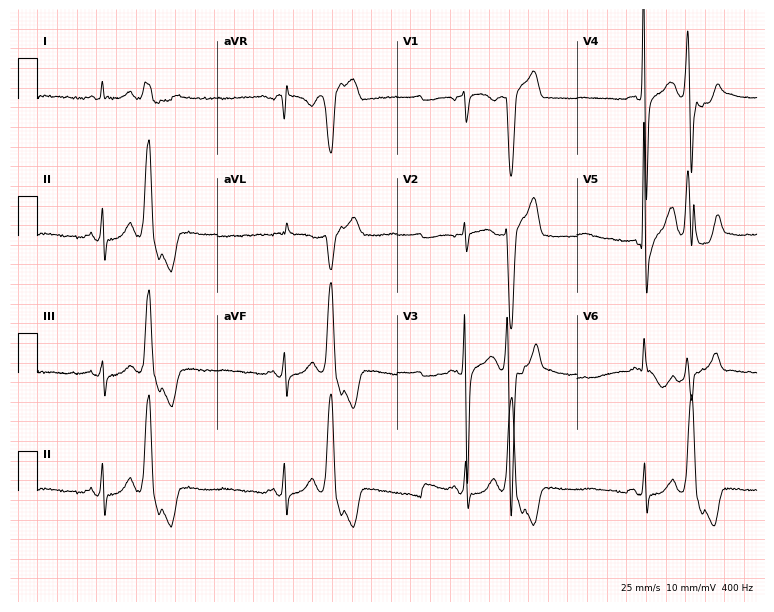
Electrocardiogram, a 61-year-old male patient. Of the six screened findings (first-degree AV block, right bundle branch block, left bundle branch block, sinus bradycardia, atrial fibrillation, sinus tachycardia), none is recorded.